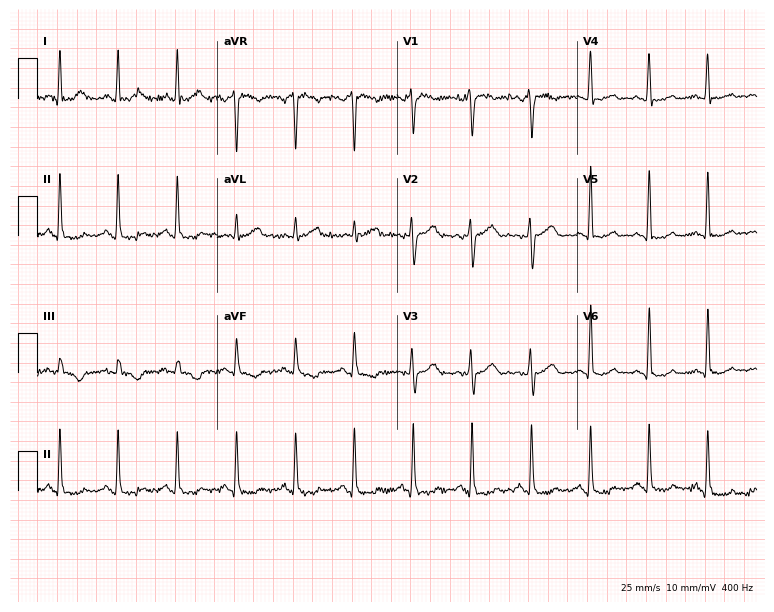
ECG — a female, 53 years old. Screened for six findings — first-degree AV block, right bundle branch block (RBBB), left bundle branch block (LBBB), sinus bradycardia, atrial fibrillation (AF), sinus tachycardia — none is recorded.